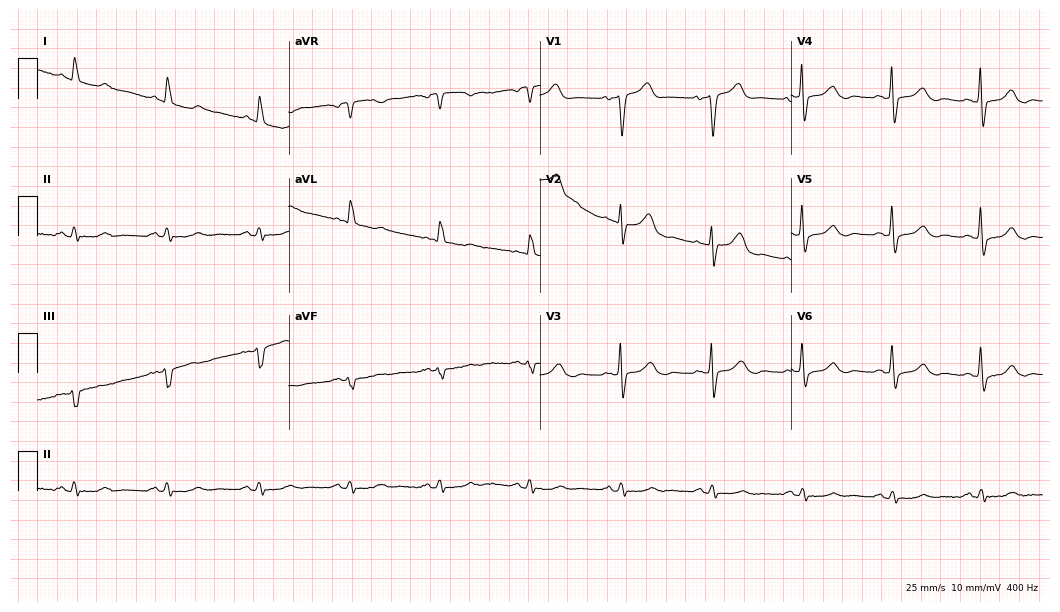
Electrocardiogram, an 85-year-old woman. Of the six screened findings (first-degree AV block, right bundle branch block (RBBB), left bundle branch block (LBBB), sinus bradycardia, atrial fibrillation (AF), sinus tachycardia), none is recorded. Other findings, if any, are not listed.